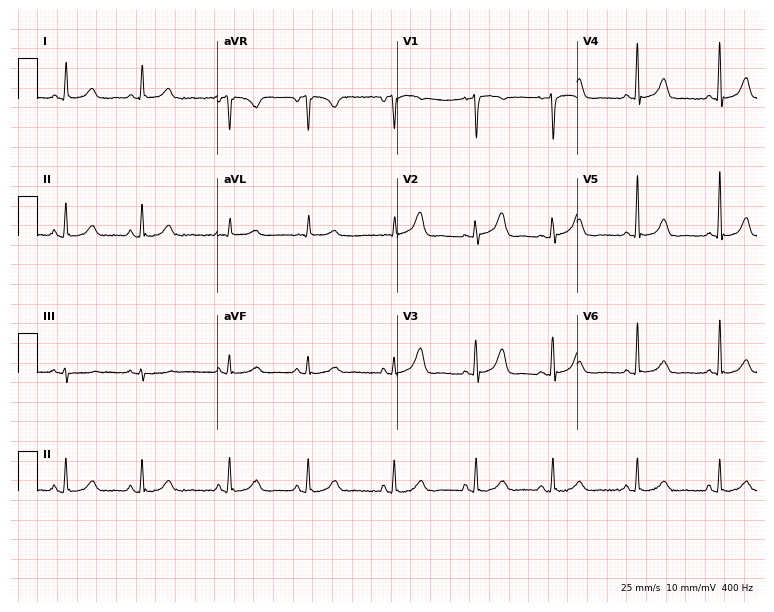
Standard 12-lead ECG recorded from a 78-year-old woman (7.3-second recording at 400 Hz). None of these six findings is recorded: first-degree AV block, right bundle branch block, left bundle branch block, sinus bradycardia, atrial fibrillation, sinus tachycardia.